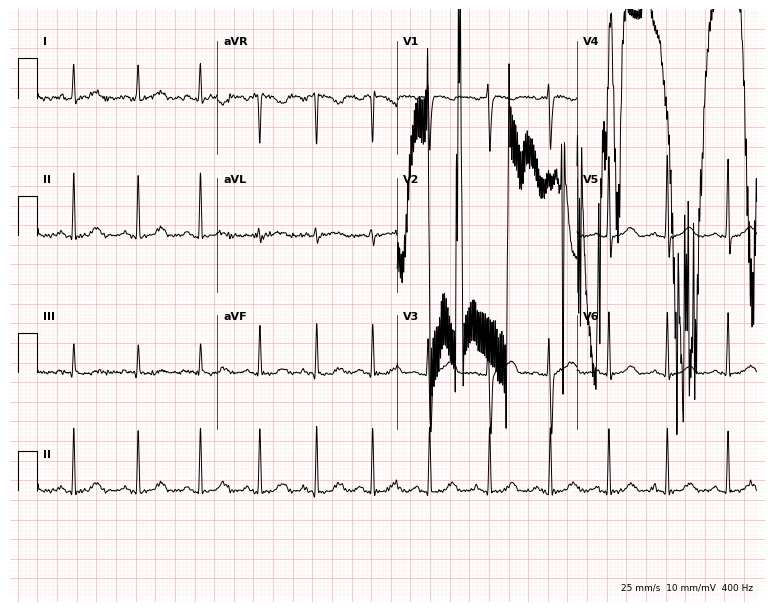
12-lead ECG from a female patient, 38 years old. Screened for six findings — first-degree AV block, right bundle branch block, left bundle branch block, sinus bradycardia, atrial fibrillation, sinus tachycardia — none is recorded.